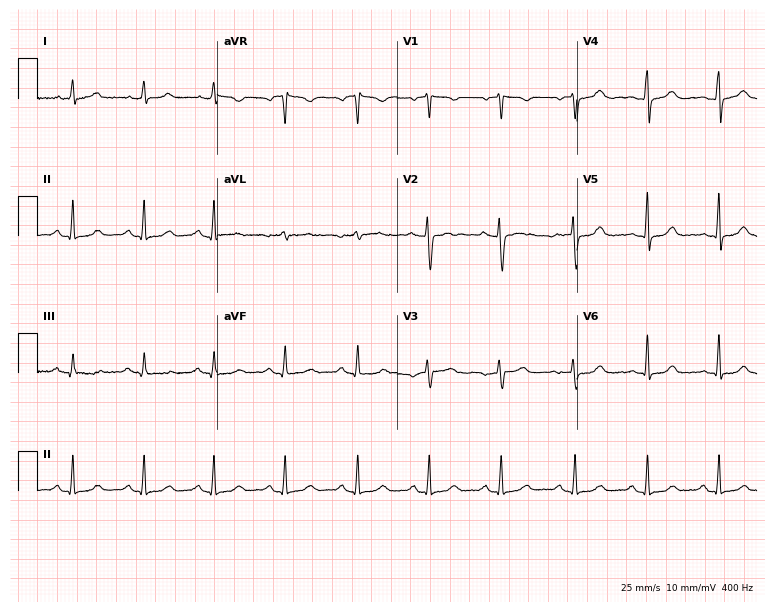
12-lead ECG from a female patient, 38 years old. Labelled as a normal ECG.